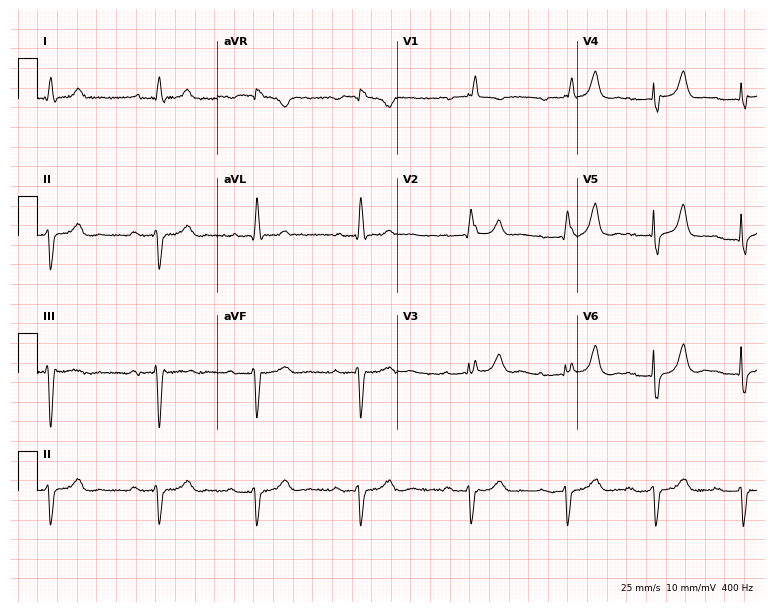
Electrocardiogram (7.3-second recording at 400 Hz), a female, 85 years old. Interpretation includes first-degree AV block, right bundle branch block.